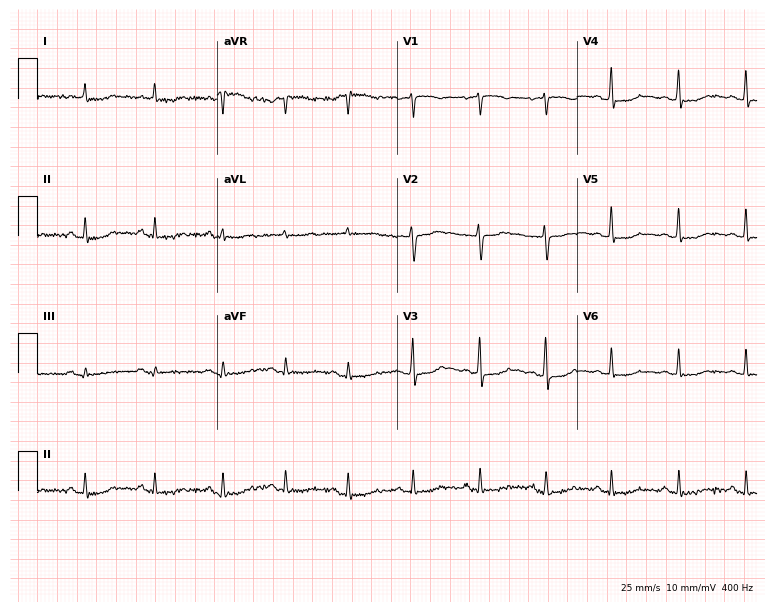
Standard 12-lead ECG recorded from a 56-year-old female. None of these six findings is recorded: first-degree AV block, right bundle branch block (RBBB), left bundle branch block (LBBB), sinus bradycardia, atrial fibrillation (AF), sinus tachycardia. Findings outside these six are not listed.